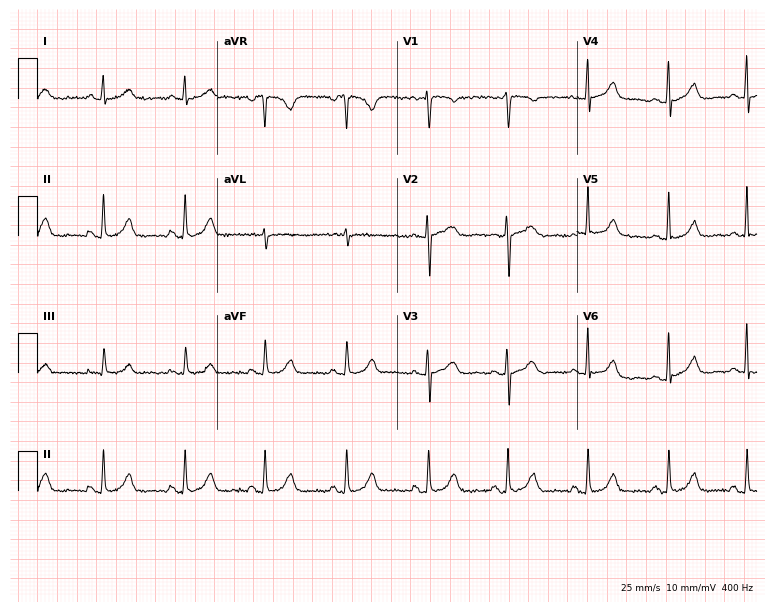
Electrocardiogram, a female patient, 59 years old. Of the six screened findings (first-degree AV block, right bundle branch block, left bundle branch block, sinus bradycardia, atrial fibrillation, sinus tachycardia), none is recorded.